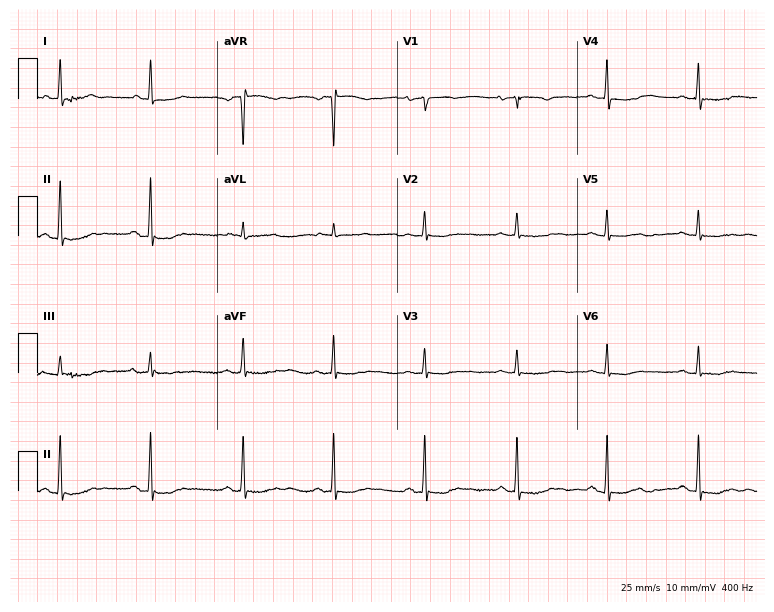
Standard 12-lead ECG recorded from an 82-year-old woman. None of these six findings is recorded: first-degree AV block, right bundle branch block, left bundle branch block, sinus bradycardia, atrial fibrillation, sinus tachycardia.